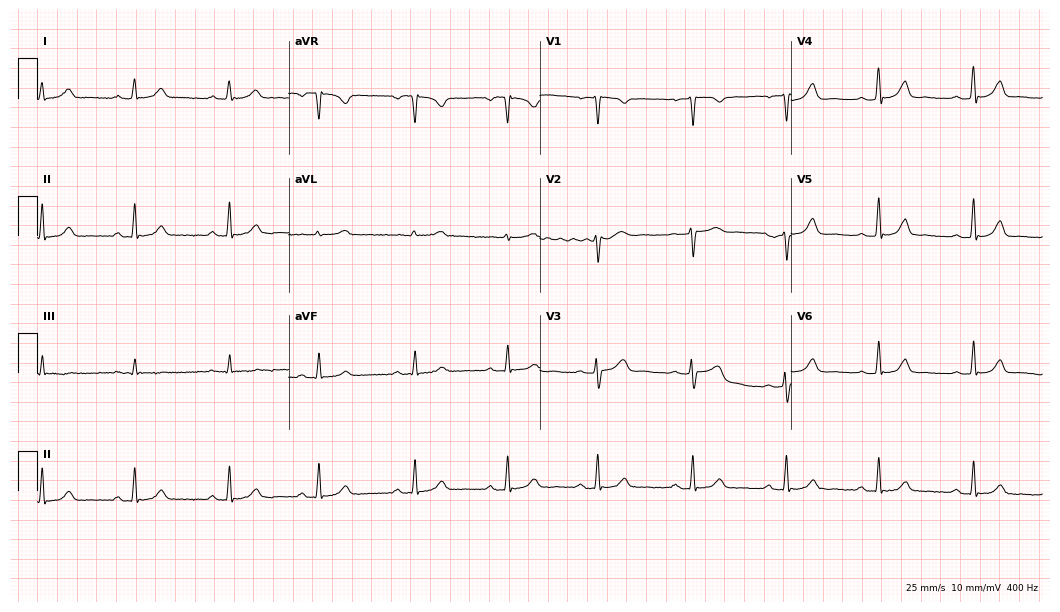
ECG (10.2-second recording at 400 Hz) — a female patient, 44 years old. Labelled as a normal ECG.